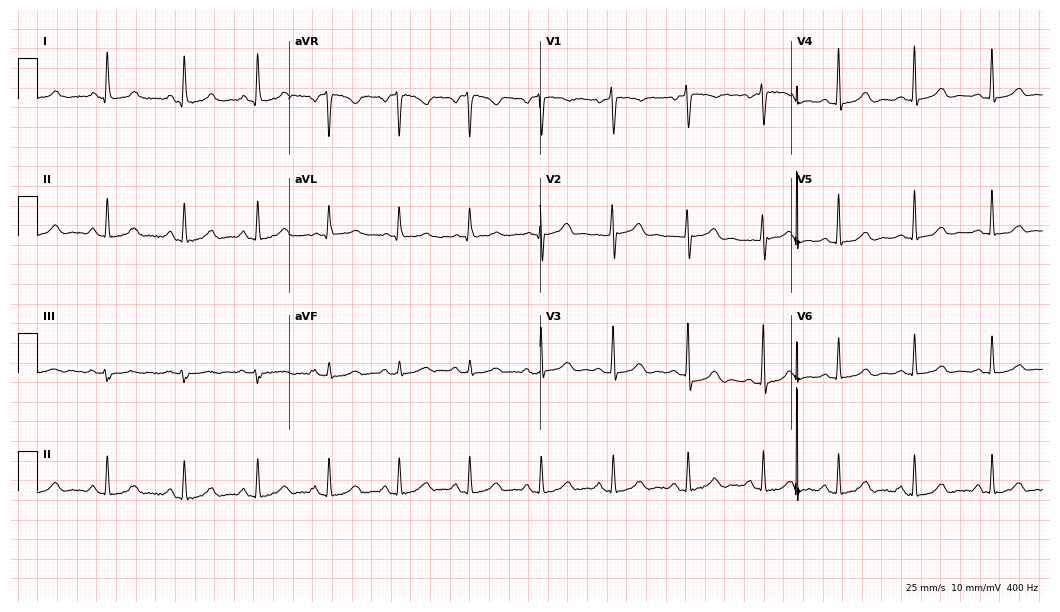
12-lead ECG from a woman, 41 years old. Labelled as a normal ECG.